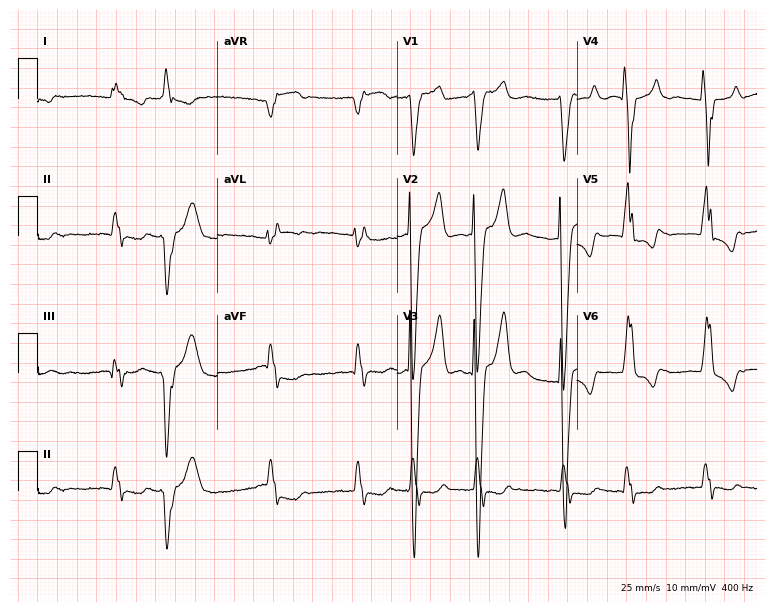
Resting 12-lead electrocardiogram (7.3-second recording at 400 Hz). Patient: a 78-year-old female. None of these six findings is recorded: first-degree AV block, right bundle branch block, left bundle branch block, sinus bradycardia, atrial fibrillation, sinus tachycardia.